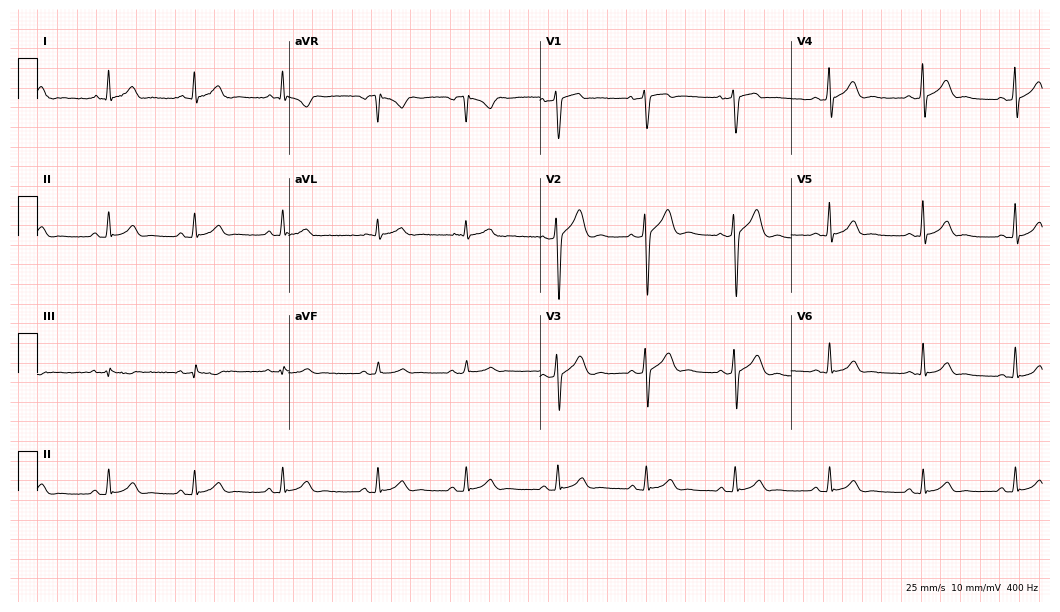
Resting 12-lead electrocardiogram. Patient: a 30-year-old man. Read as a normal ECG.